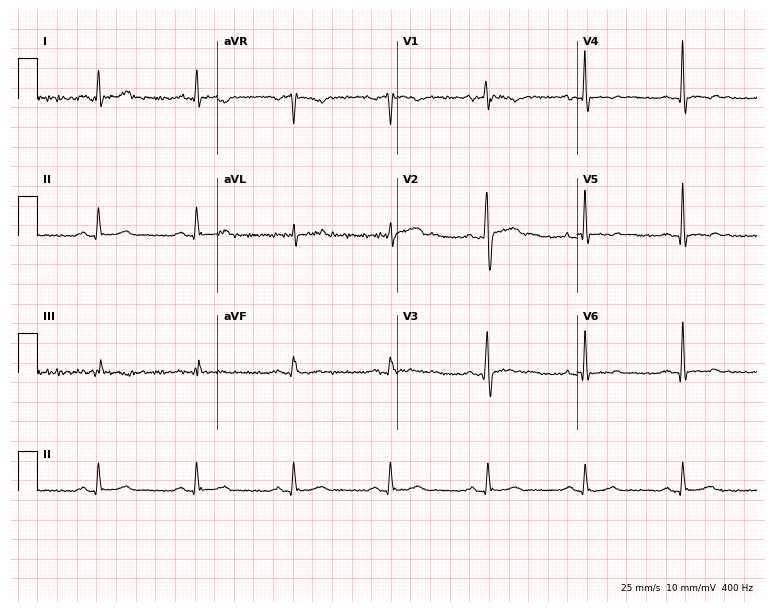
12-lead ECG from a male, 46 years old. No first-degree AV block, right bundle branch block, left bundle branch block, sinus bradycardia, atrial fibrillation or sinus tachycardia recorded for this tracing.